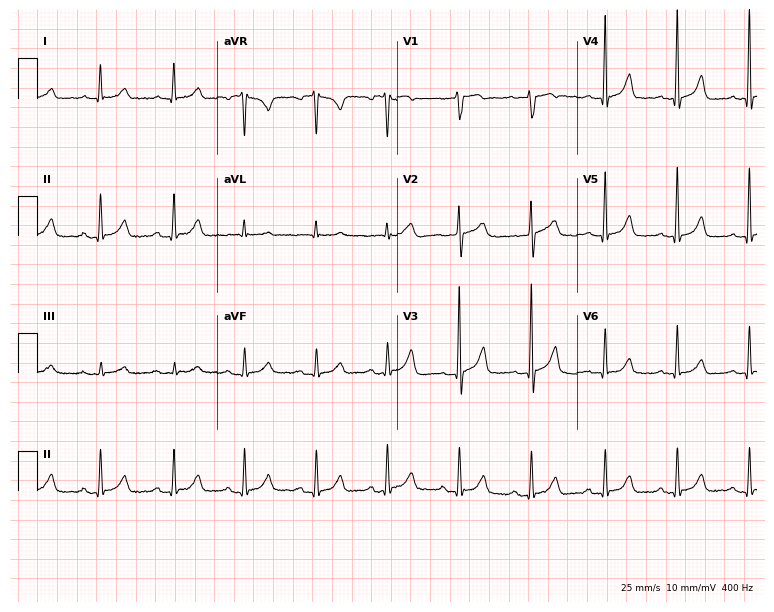
12-lead ECG from a female patient, 72 years old. Screened for six findings — first-degree AV block, right bundle branch block, left bundle branch block, sinus bradycardia, atrial fibrillation, sinus tachycardia — none is recorded.